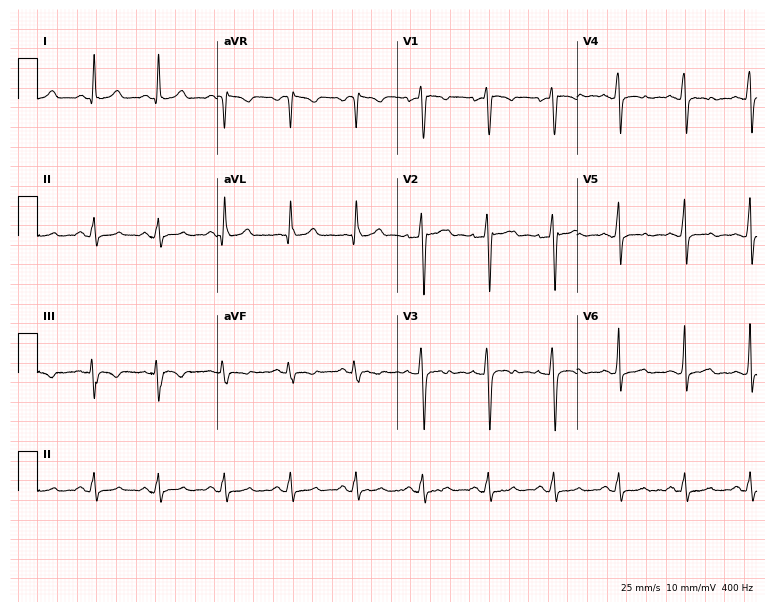
Resting 12-lead electrocardiogram (7.3-second recording at 400 Hz). Patient: a 31-year-old male. None of these six findings is recorded: first-degree AV block, right bundle branch block, left bundle branch block, sinus bradycardia, atrial fibrillation, sinus tachycardia. Findings outside these six are not listed.